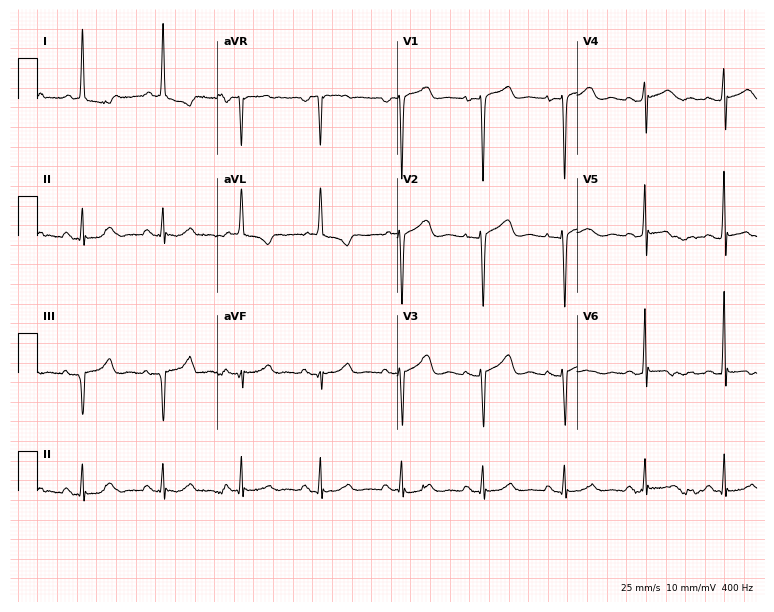
12-lead ECG from a 76-year-old woman (7.3-second recording at 400 Hz). No first-degree AV block, right bundle branch block, left bundle branch block, sinus bradycardia, atrial fibrillation or sinus tachycardia recorded for this tracing. Only these six findings were labelled.